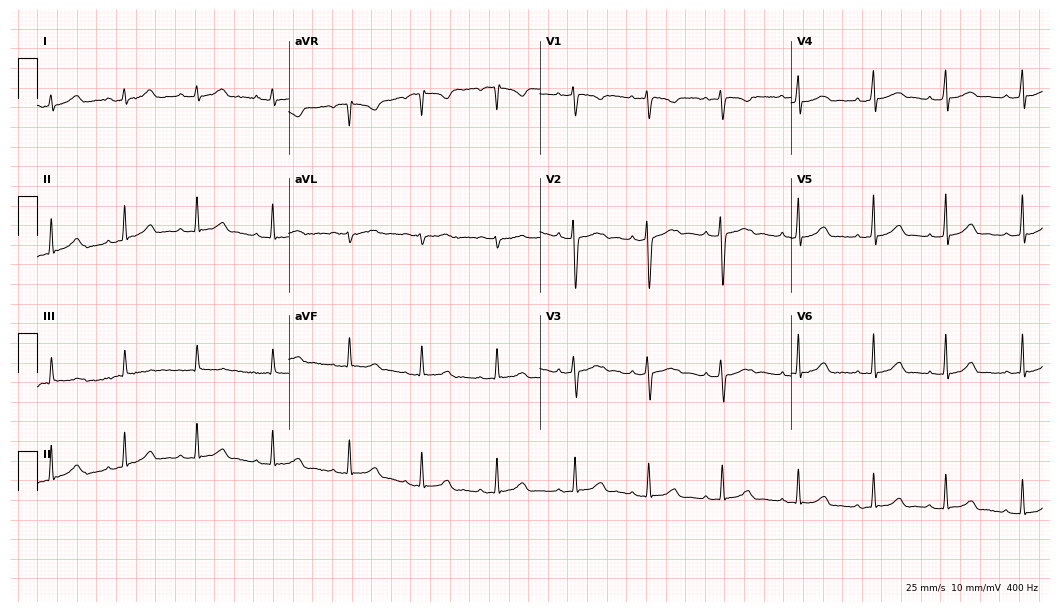
12-lead ECG from an 18-year-old female (10.2-second recording at 400 Hz). No first-degree AV block, right bundle branch block, left bundle branch block, sinus bradycardia, atrial fibrillation or sinus tachycardia recorded for this tracing.